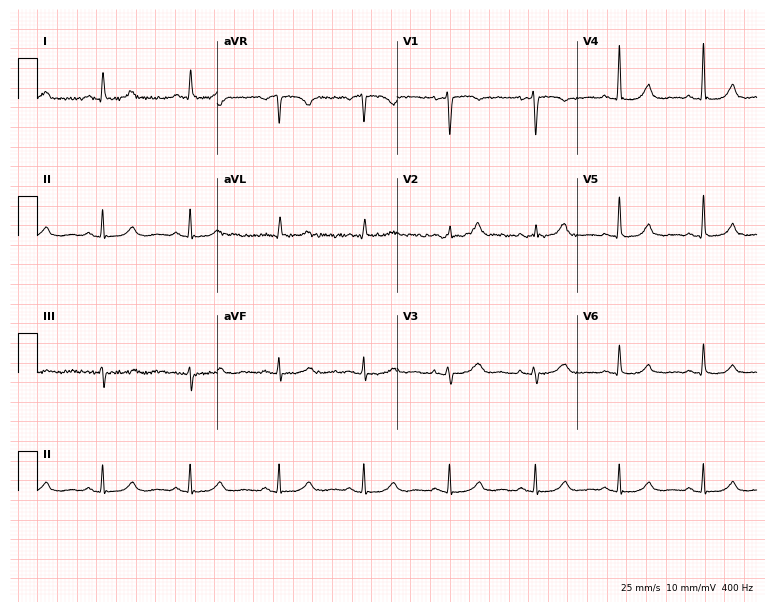
Standard 12-lead ECG recorded from a 57-year-old female (7.3-second recording at 400 Hz). Read as a normal ECG.